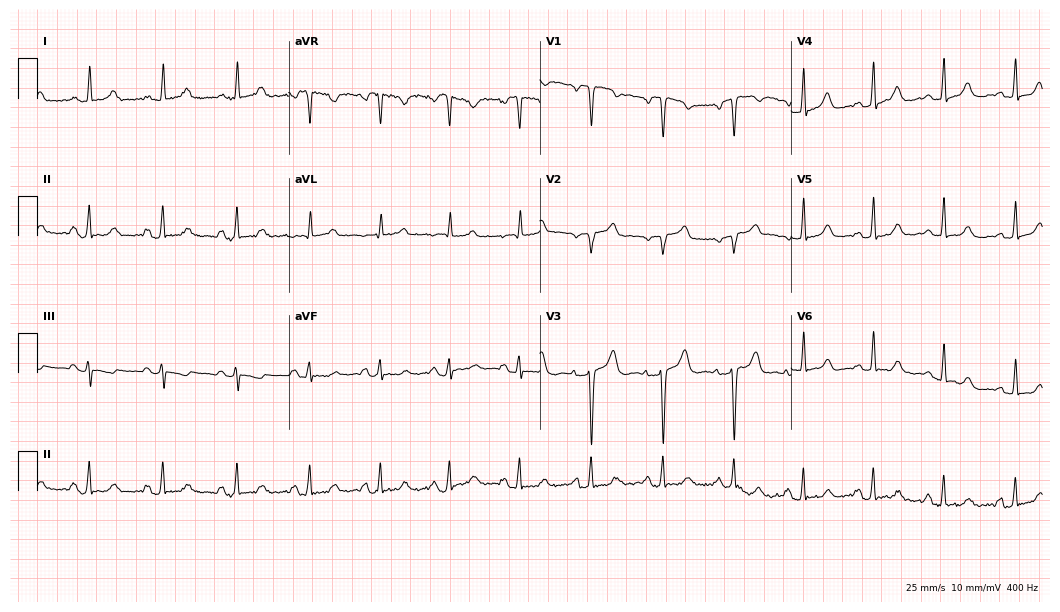
Standard 12-lead ECG recorded from a 46-year-old female (10.2-second recording at 400 Hz). Read as a normal ECG.